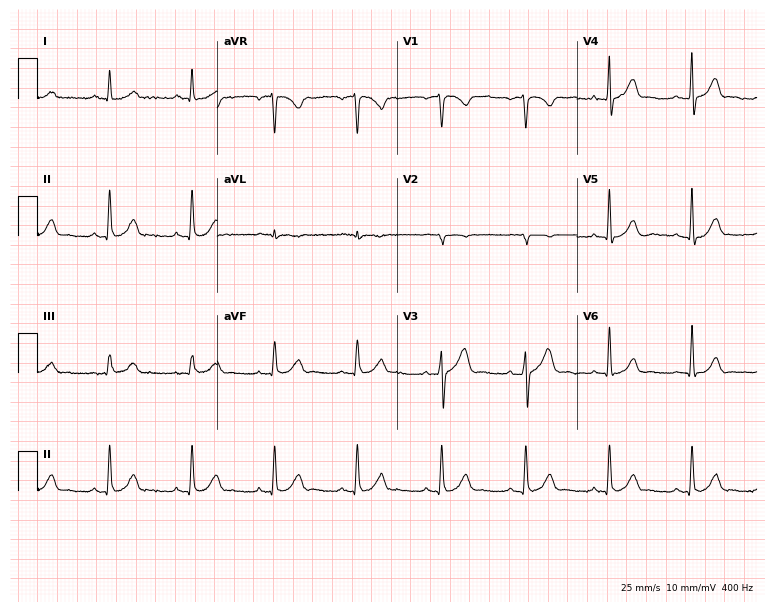
ECG — a 50-year-old male patient. Screened for six findings — first-degree AV block, right bundle branch block (RBBB), left bundle branch block (LBBB), sinus bradycardia, atrial fibrillation (AF), sinus tachycardia — none is recorded. Findings outside these six are not listed.